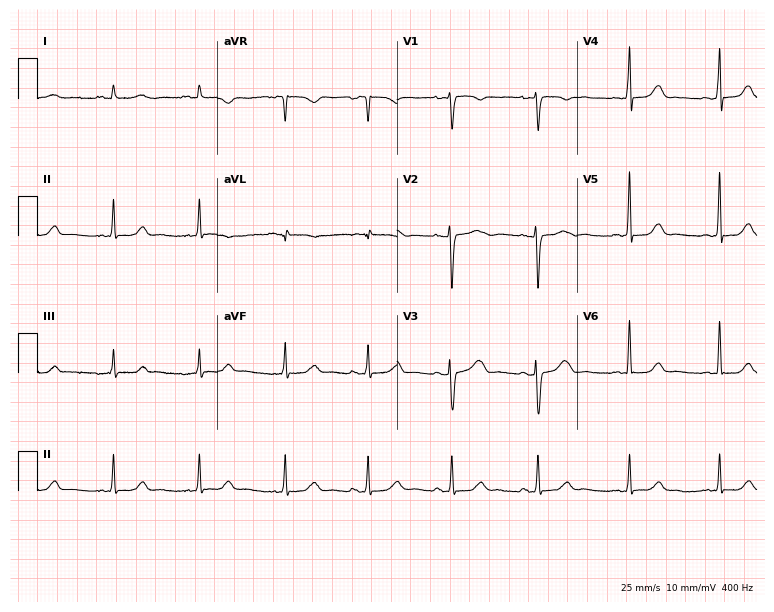
ECG (7.3-second recording at 400 Hz) — a female patient, 26 years old. Labelled as a normal ECG.